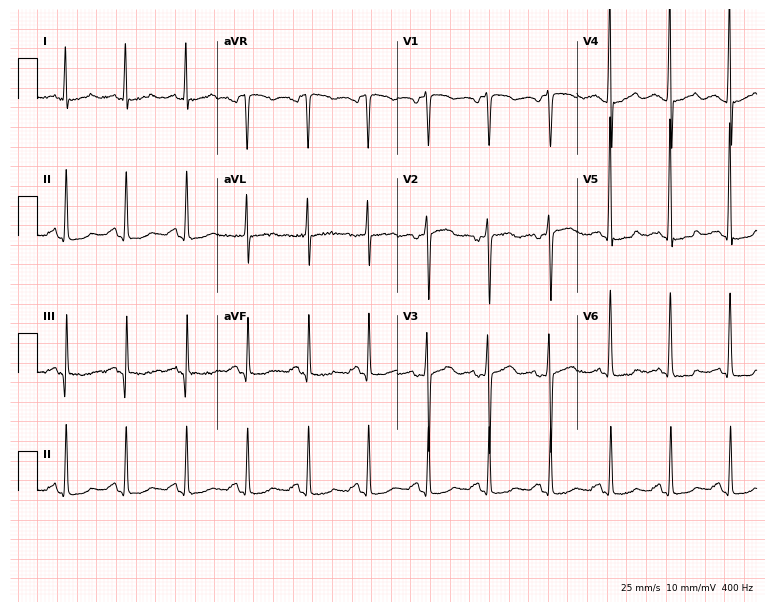
12-lead ECG (7.3-second recording at 400 Hz) from a man, 70 years old. Labelled as a normal ECG.